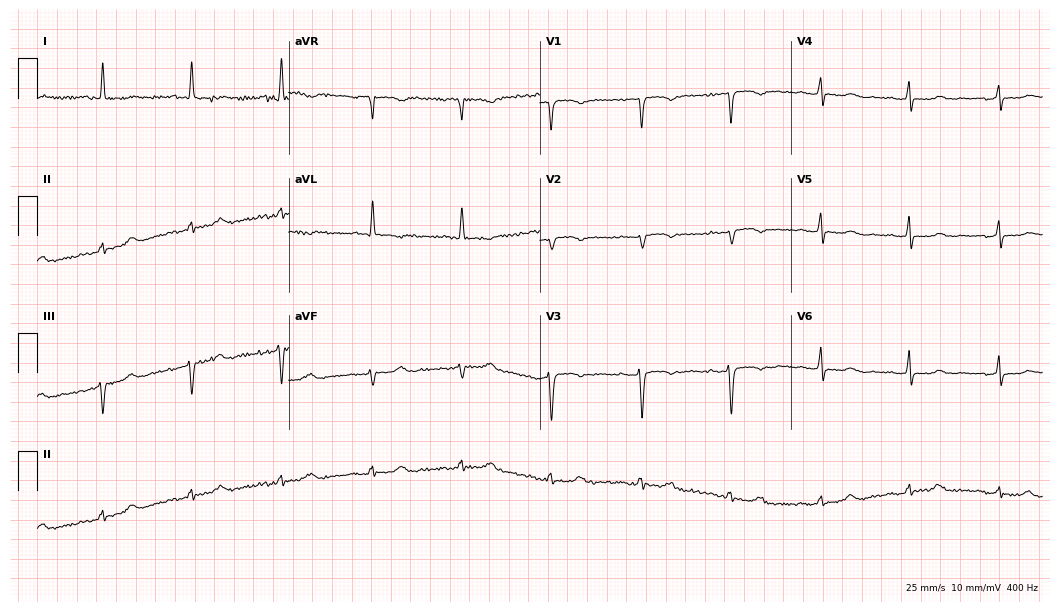
12-lead ECG from a woman, 74 years old. No first-degree AV block, right bundle branch block (RBBB), left bundle branch block (LBBB), sinus bradycardia, atrial fibrillation (AF) or sinus tachycardia recorded for this tracing.